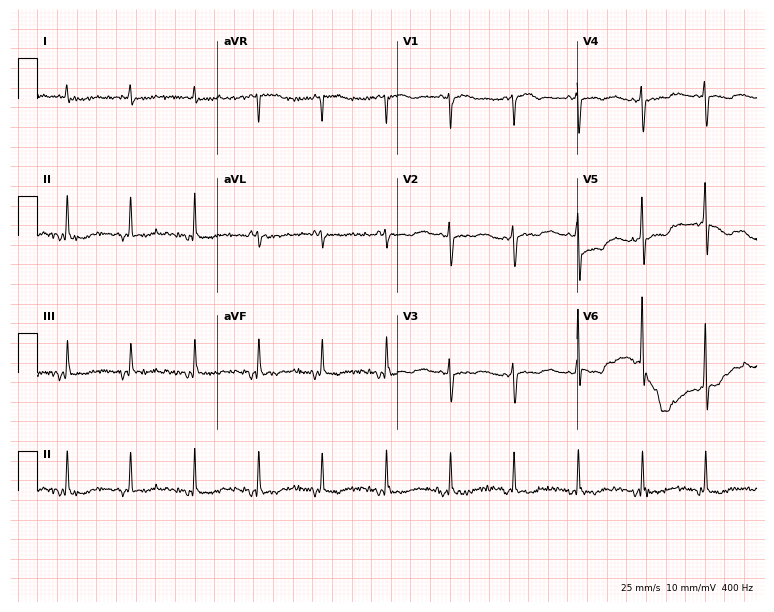
ECG (7.3-second recording at 400 Hz) — a female patient, 74 years old. Screened for six findings — first-degree AV block, right bundle branch block, left bundle branch block, sinus bradycardia, atrial fibrillation, sinus tachycardia — none is recorded.